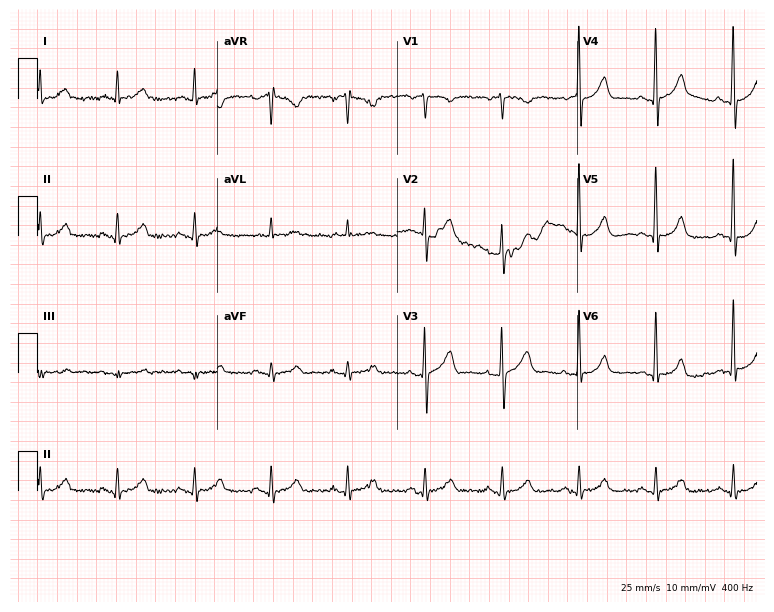
Electrocardiogram (7.3-second recording at 400 Hz), an 81-year-old male patient. Overall reading on record: normal ECG.